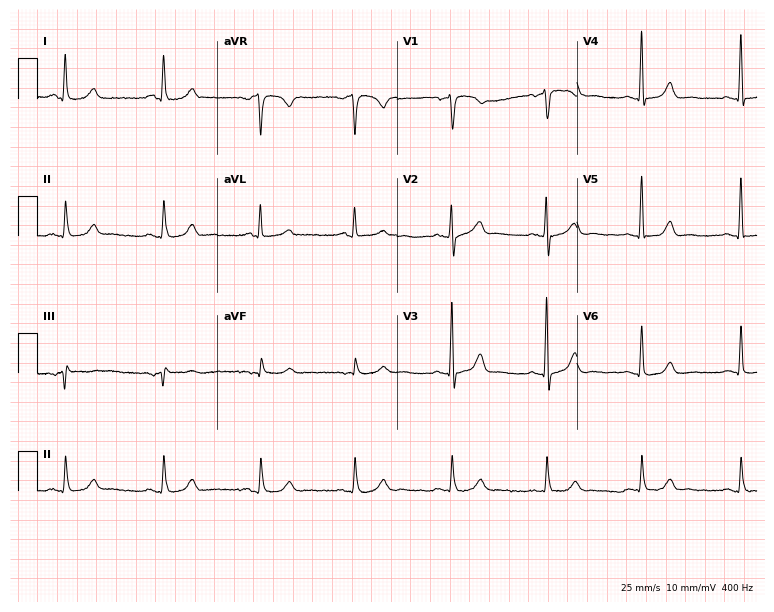
ECG — a 61-year-old female. Labelled as a normal ECG.